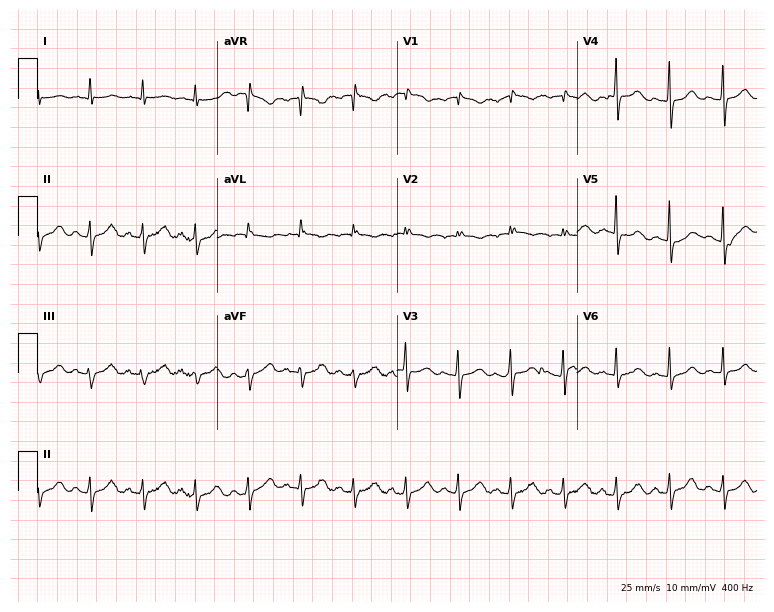
Standard 12-lead ECG recorded from a 65-year-old woman. The tracing shows sinus tachycardia (a sinus rate of 100 beats per minute or more).